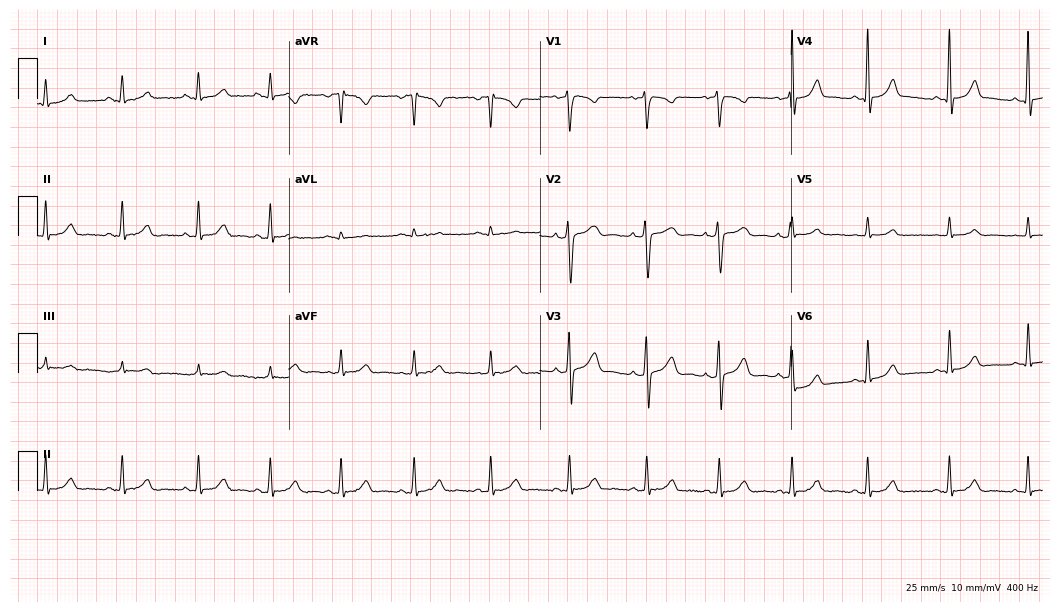
Resting 12-lead electrocardiogram. Patient: a 24-year-old female. Read as a normal ECG.